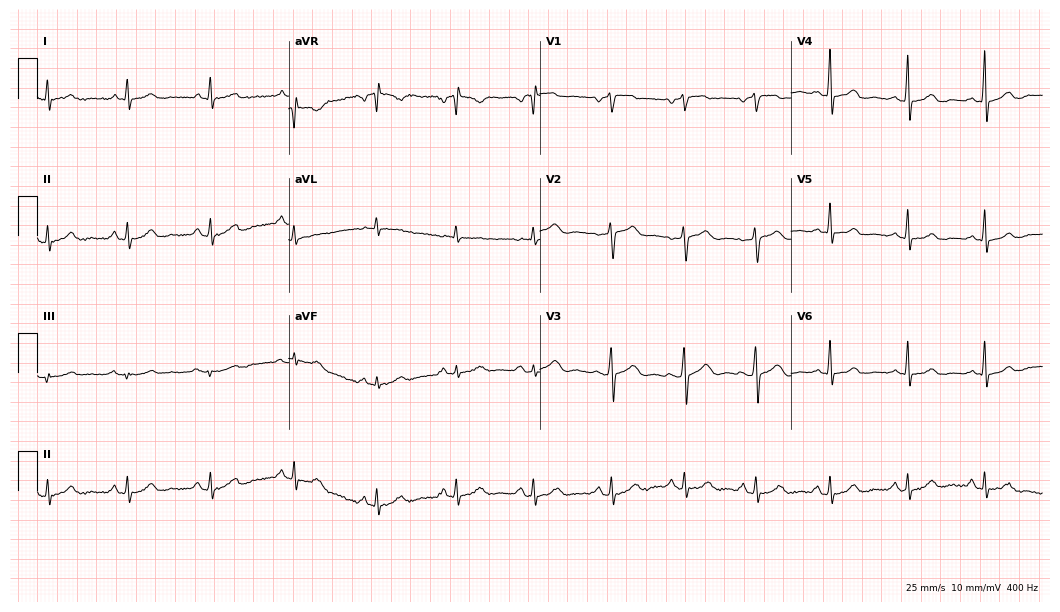
12-lead ECG from a 47-year-old female patient (10.2-second recording at 400 Hz). Recorded interpretation: within normal limits.